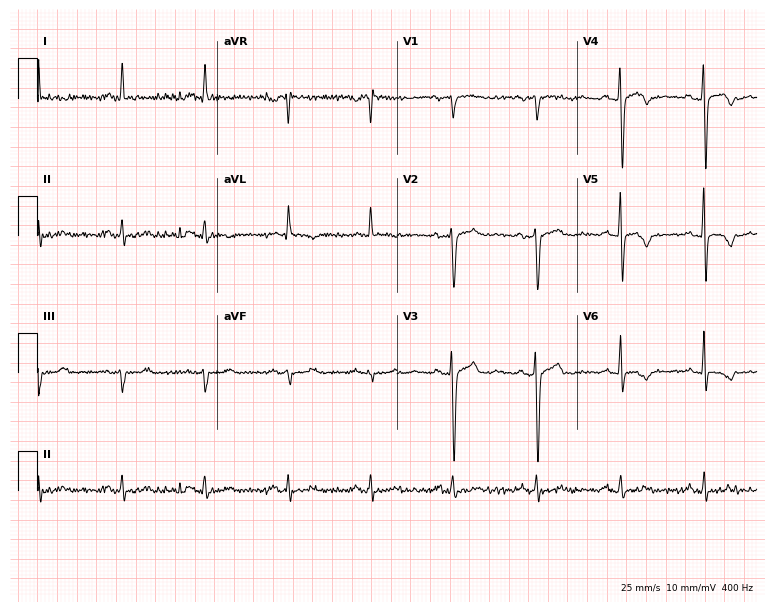
12-lead ECG (7.3-second recording at 400 Hz) from a 49-year-old man. Screened for six findings — first-degree AV block, right bundle branch block (RBBB), left bundle branch block (LBBB), sinus bradycardia, atrial fibrillation (AF), sinus tachycardia — none is recorded. Other findings, if any, are not listed.